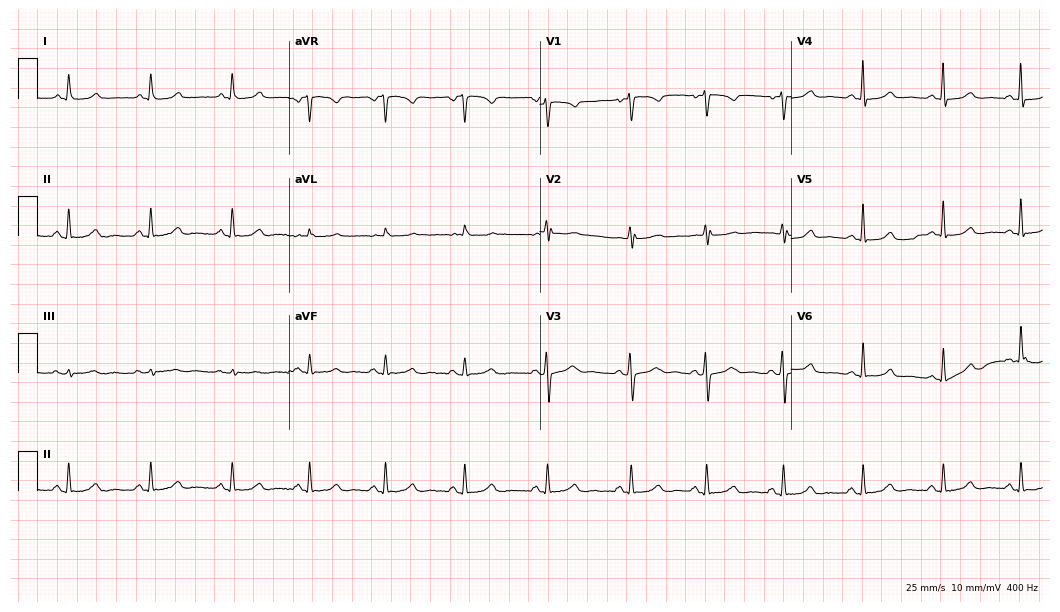
Standard 12-lead ECG recorded from a female patient, 37 years old. Read as a normal ECG.